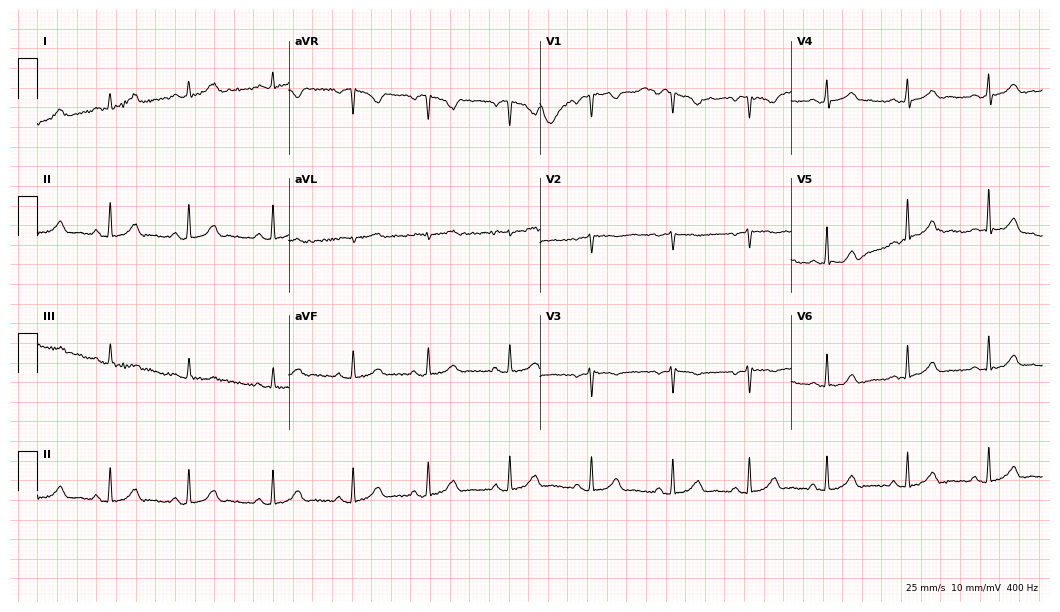
12-lead ECG from a female patient, 39 years old. Labelled as a normal ECG.